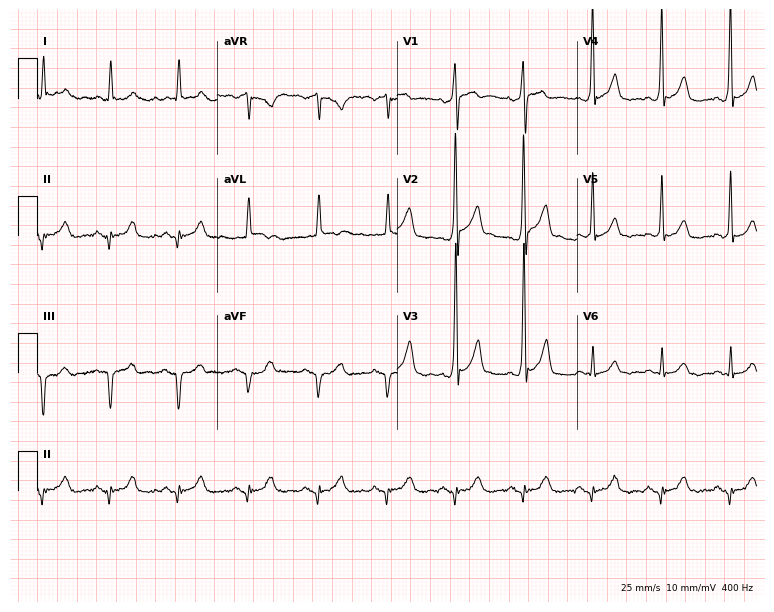
ECG (7.3-second recording at 400 Hz) — a male, 69 years old. Screened for six findings — first-degree AV block, right bundle branch block, left bundle branch block, sinus bradycardia, atrial fibrillation, sinus tachycardia — none is recorded.